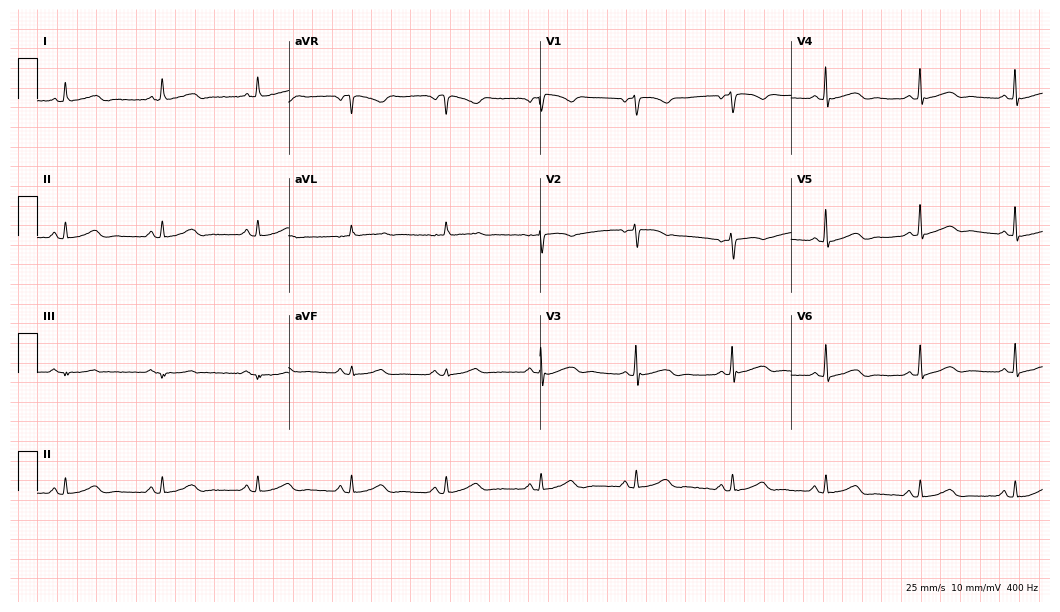
Standard 12-lead ECG recorded from a 64-year-old woman (10.2-second recording at 400 Hz). Read as a normal ECG.